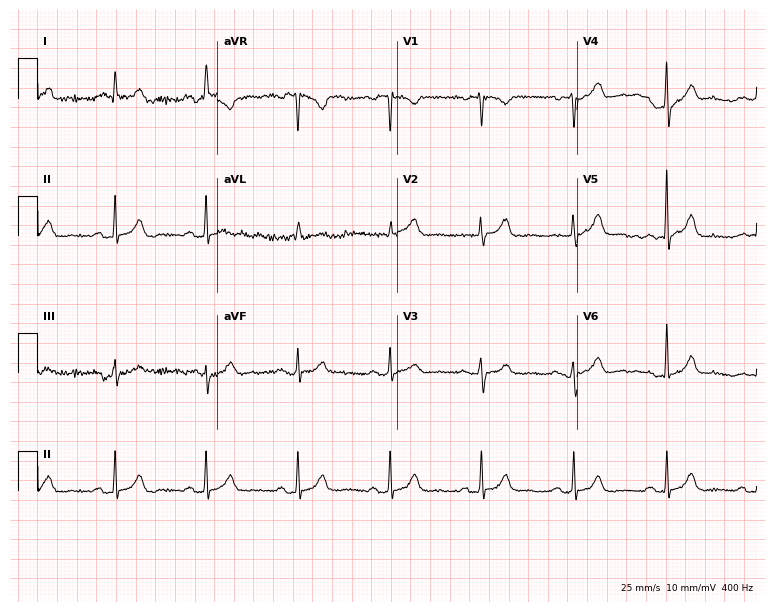
Resting 12-lead electrocardiogram. Patient: an 80-year-old man. Read as a normal ECG.